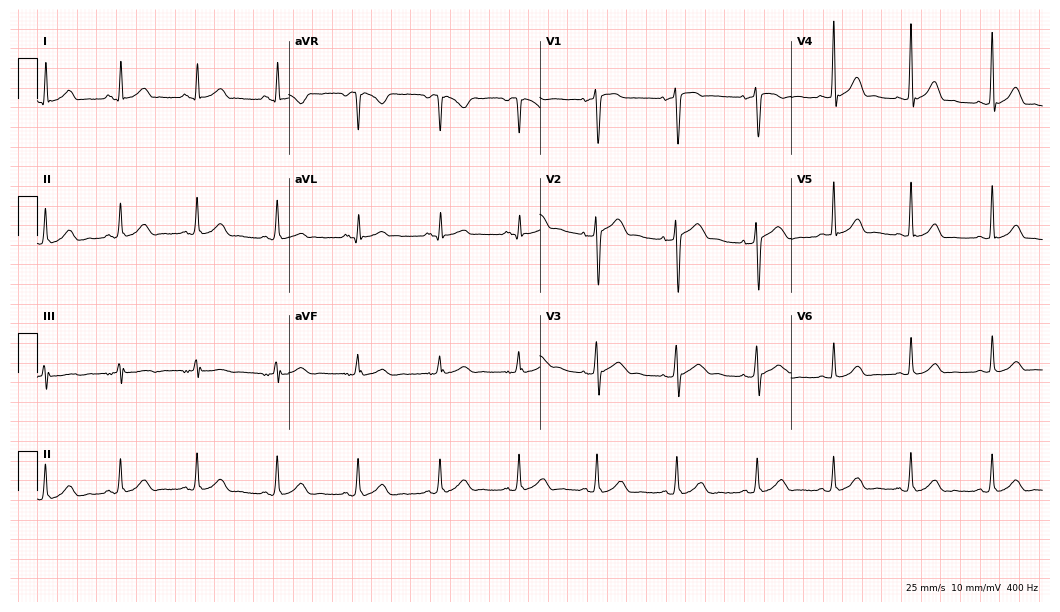
ECG — a 39-year-old female patient. Labelled as a normal ECG.